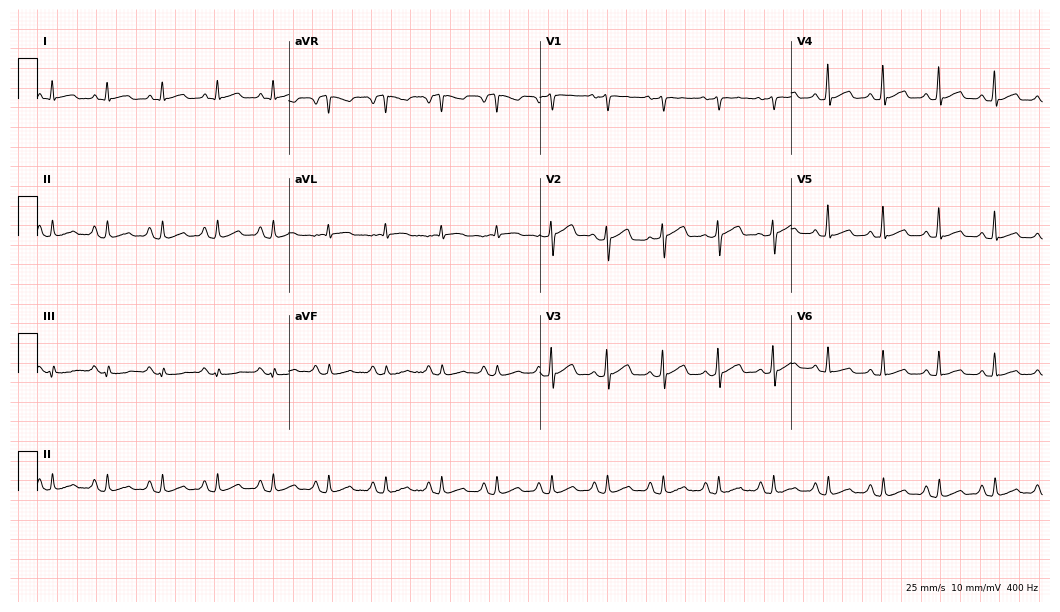
12-lead ECG from a 53-year-old woman. Findings include sinus tachycardia (a sinus rate of 100 beats per minute or more).